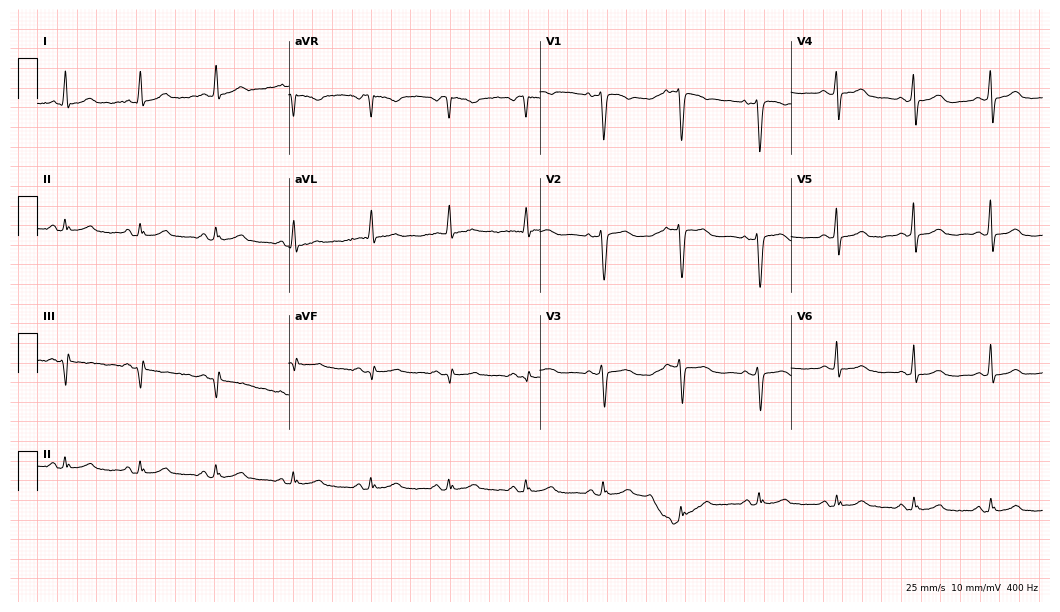
Electrocardiogram, a female patient, 57 years old. Of the six screened findings (first-degree AV block, right bundle branch block (RBBB), left bundle branch block (LBBB), sinus bradycardia, atrial fibrillation (AF), sinus tachycardia), none is recorded. Other findings, if any, are not listed.